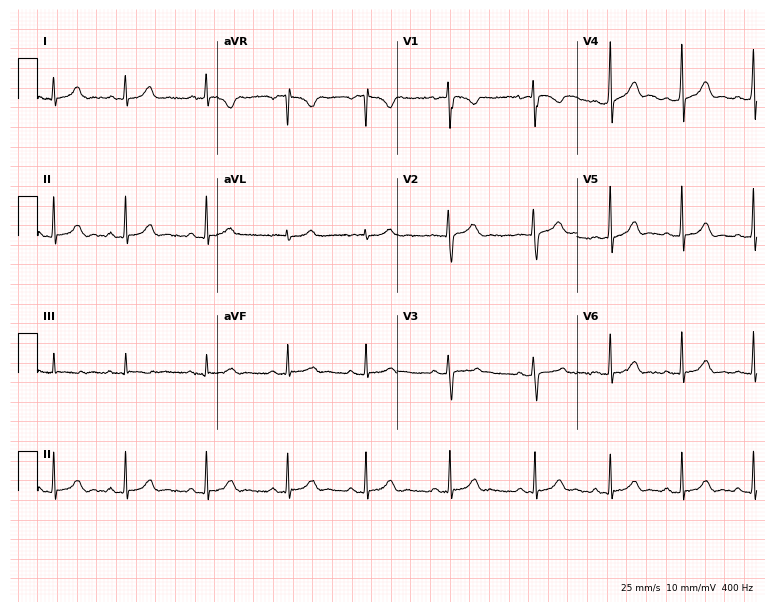
12-lead ECG from a woman, 23 years old. Recorded interpretation: within normal limits.